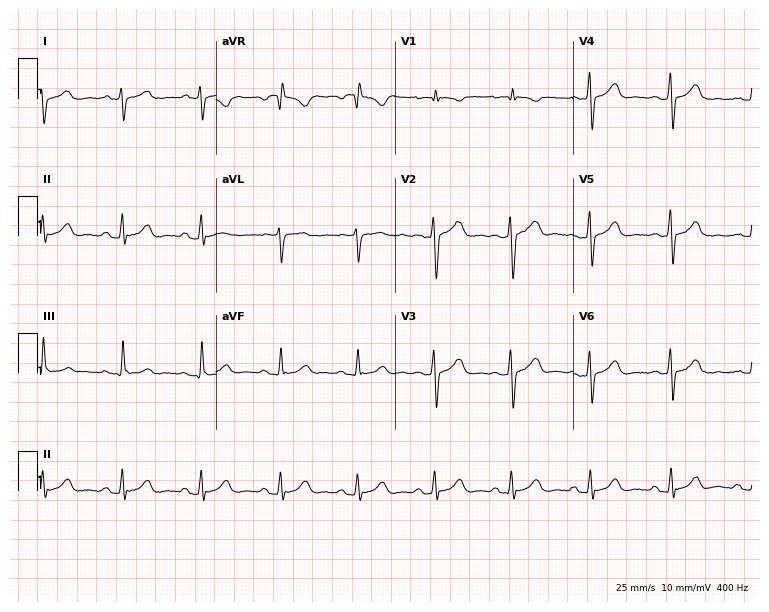
Electrocardiogram (7.3-second recording at 400 Hz), a female patient, 28 years old. Of the six screened findings (first-degree AV block, right bundle branch block (RBBB), left bundle branch block (LBBB), sinus bradycardia, atrial fibrillation (AF), sinus tachycardia), none is recorded. Findings outside these six are not listed.